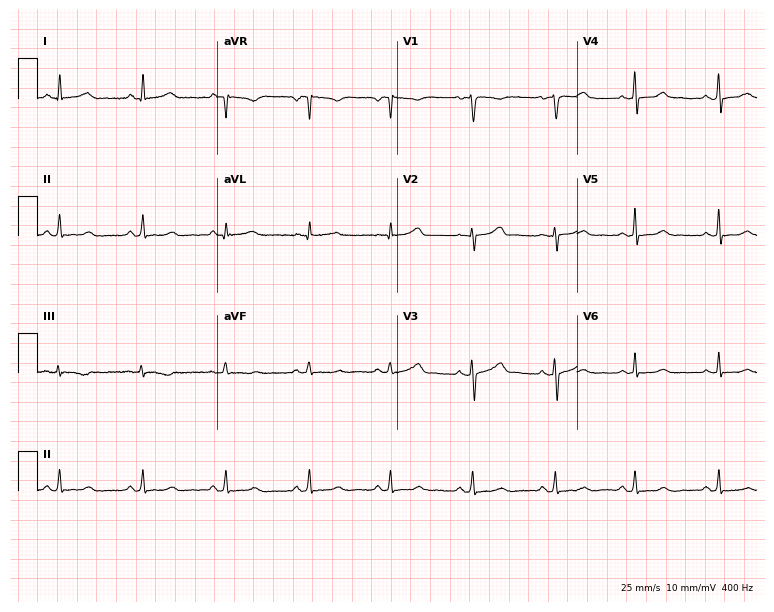
Standard 12-lead ECG recorded from a 35-year-old female. None of these six findings is recorded: first-degree AV block, right bundle branch block, left bundle branch block, sinus bradycardia, atrial fibrillation, sinus tachycardia. Only these six findings were labelled.